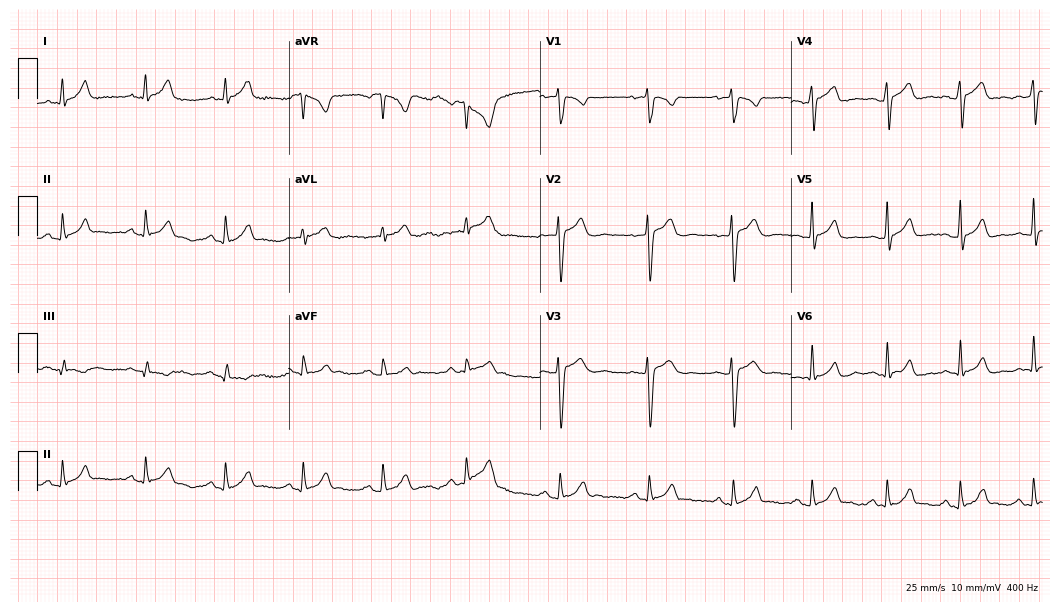
12-lead ECG from a male patient, 26 years old. Labelled as a normal ECG.